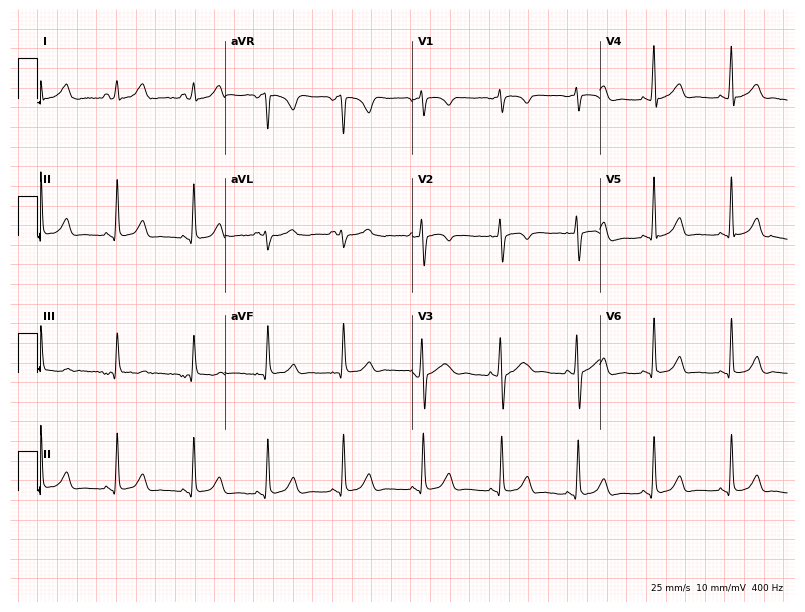
Standard 12-lead ECG recorded from a 24-year-old female. Read as a normal ECG.